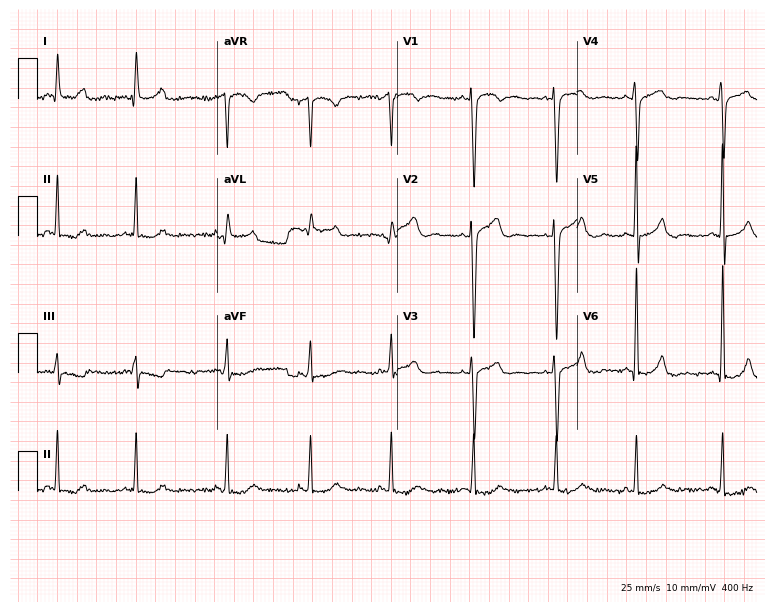
Resting 12-lead electrocardiogram. Patient: a 54-year-old man. None of these six findings is recorded: first-degree AV block, right bundle branch block, left bundle branch block, sinus bradycardia, atrial fibrillation, sinus tachycardia.